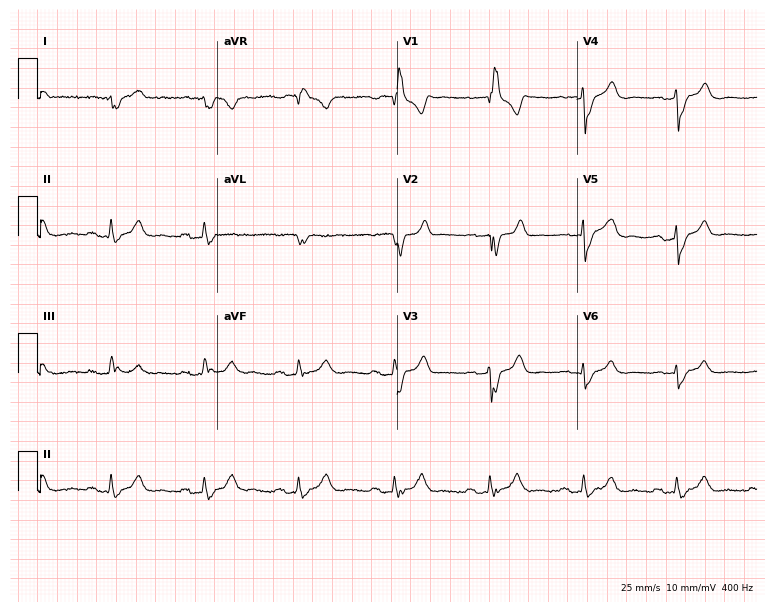
Standard 12-lead ECG recorded from a 60-year-old man (7.3-second recording at 400 Hz). The tracing shows first-degree AV block, right bundle branch block.